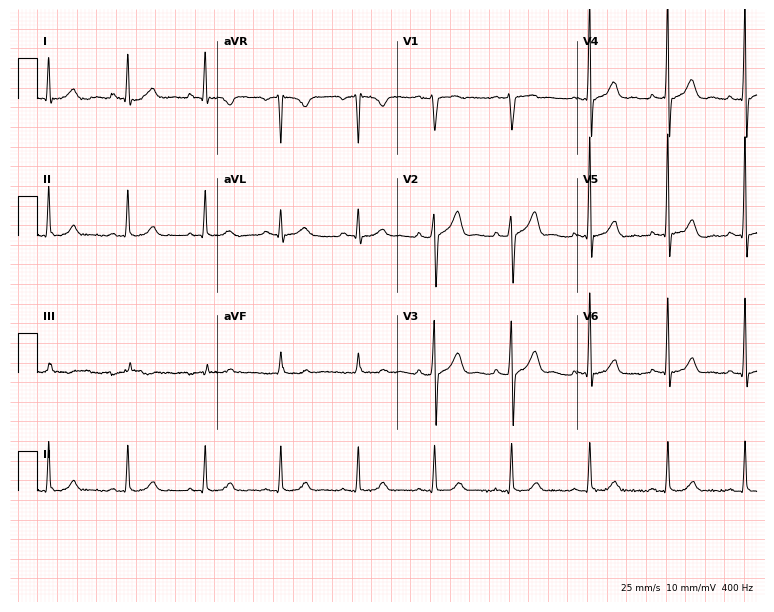
12-lead ECG from a 52-year-old male patient (7.3-second recording at 400 Hz). No first-degree AV block, right bundle branch block (RBBB), left bundle branch block (LBBB), sinus bradycardia, atrial fibrillation (AF) or sinus tachycardia recorded for this tracing.